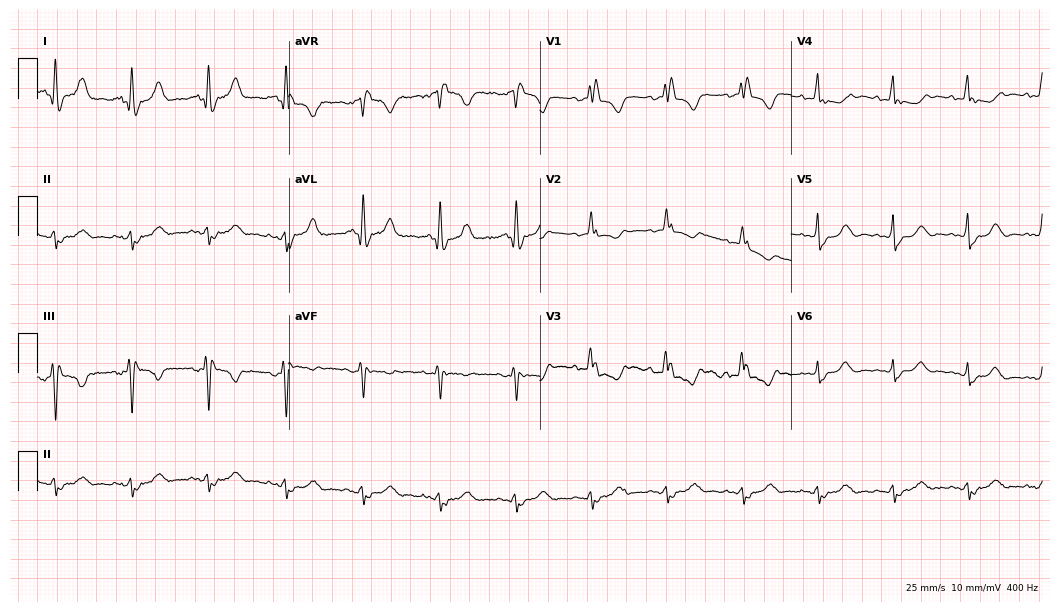
Resting 12-lead electrocardiogram. Patient: a 75-year-old female. None of these six findings is recorded: first-degree AV block, right bundle branch block (RBBB), left bundle branch block (LBBB), sinus bradycardia, atrial fibrillation (AF), sinus tachycardia.